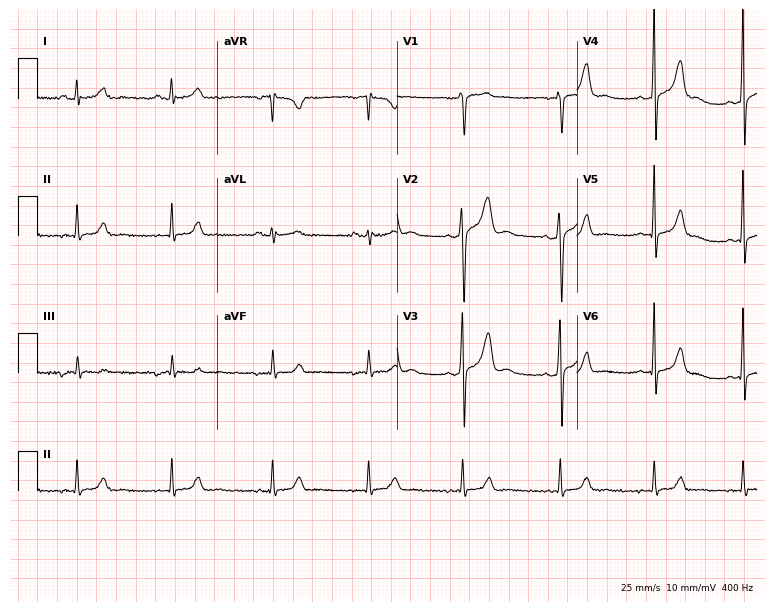
ECG — a 20-year-old male. Screened for six findings — first-degree AV block, right bundle branch block, left bundle branch block, sinus bradycardia, atrial fibrillation, sinus tachycardia — none is recorded.